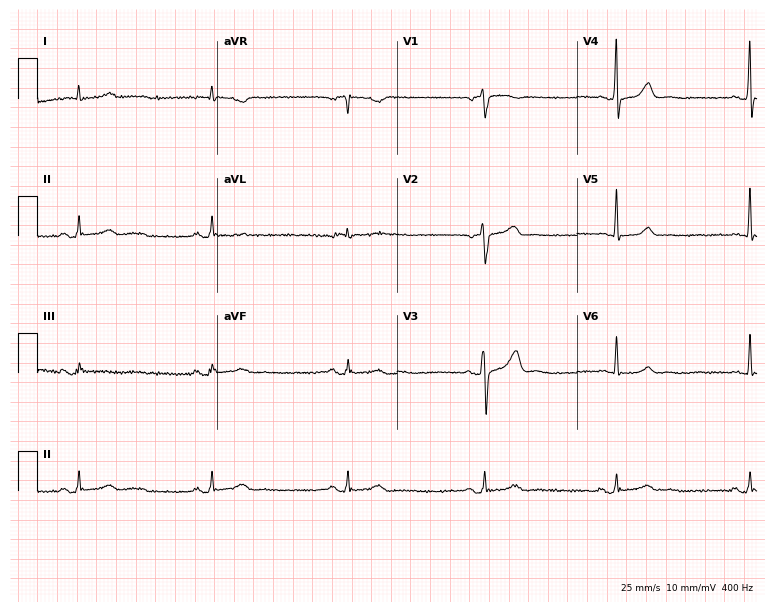
ECG — a 79-year-old female patient. Findings include sinus bradycardia (a sinus rate of 50 beats per minute or less).